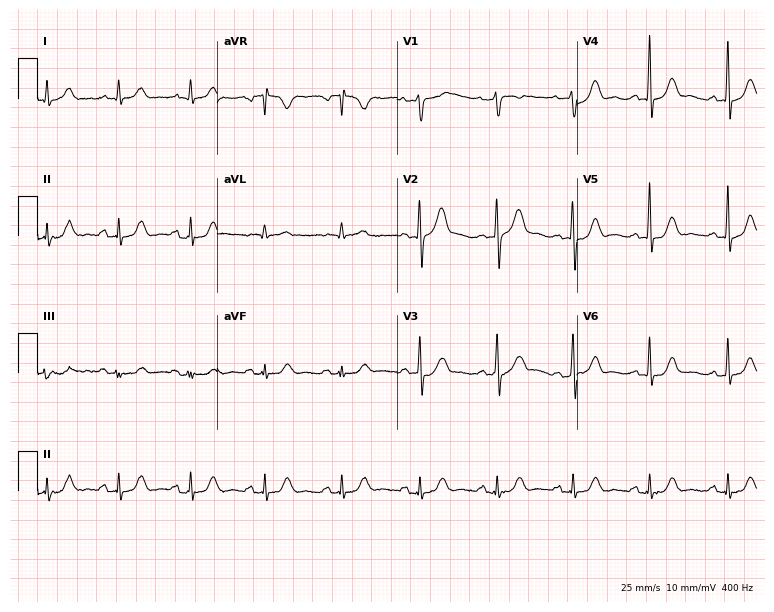
Standard 12-lead ECG recorded from a 73-year-old male. None of these six findings is recorded: first-degree AV block, right bundle branch block (RBBB), left bundle branch block (LBBB), sinus bradycardia, atrial fibrillation (AF), sinus tachycardia. Only these six findings were labelled.